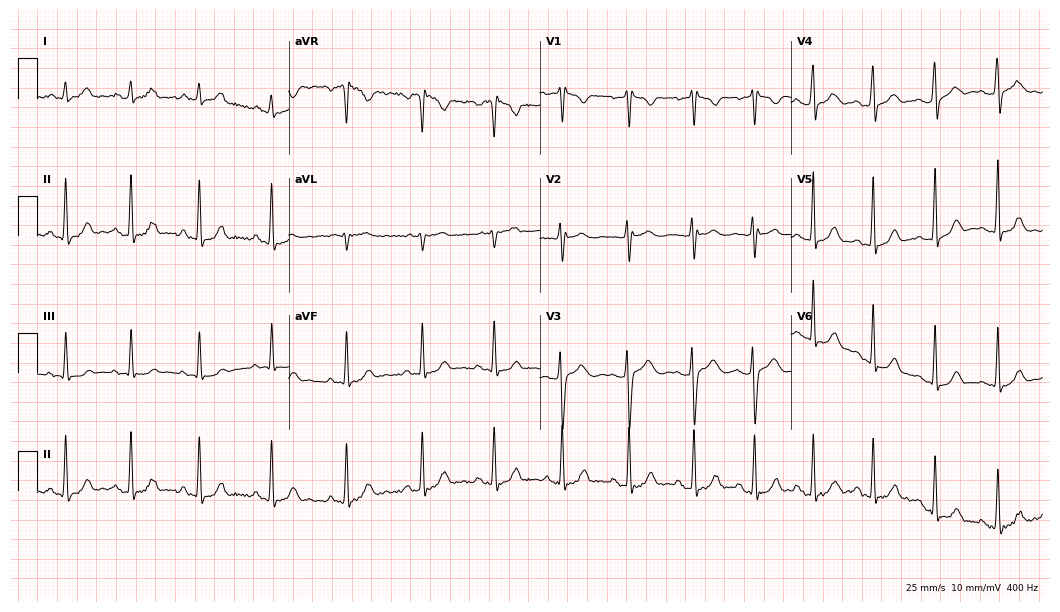
Resting 12-lead electrocardiogram. Patient: a female, 21 years old. Read as a normal ECG.